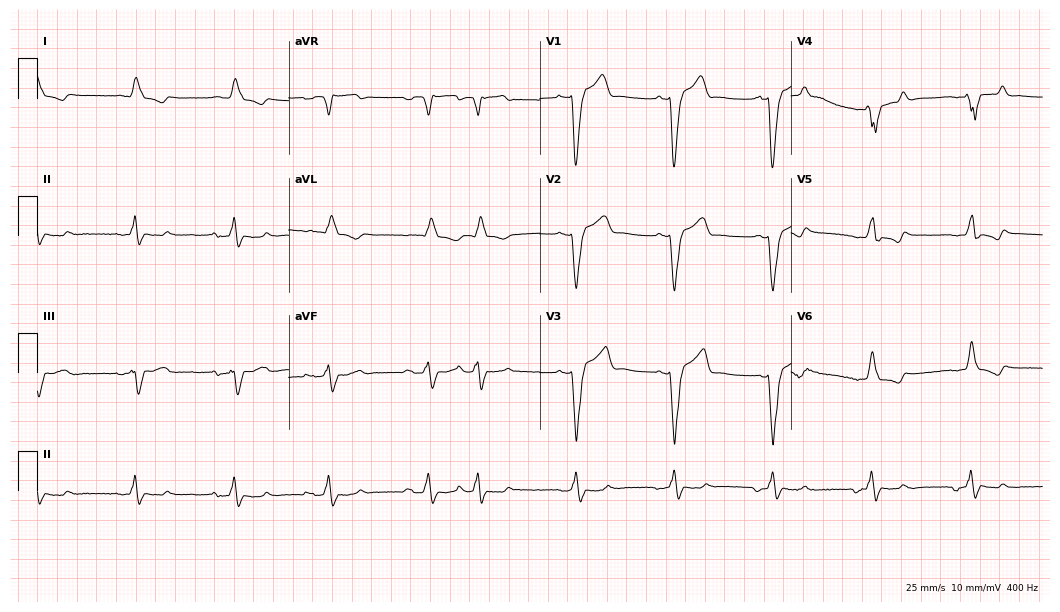
ECG (10.2-second recording at 400 Hz) — an 85-year-old male patient. Screened for six findings — first-degree AV block, right bundle branch block, left bundle branch block, sinus bradycardia, atrial fibrillation, sinus tachycardia — none is recorded. Findings outside these six are not listed.